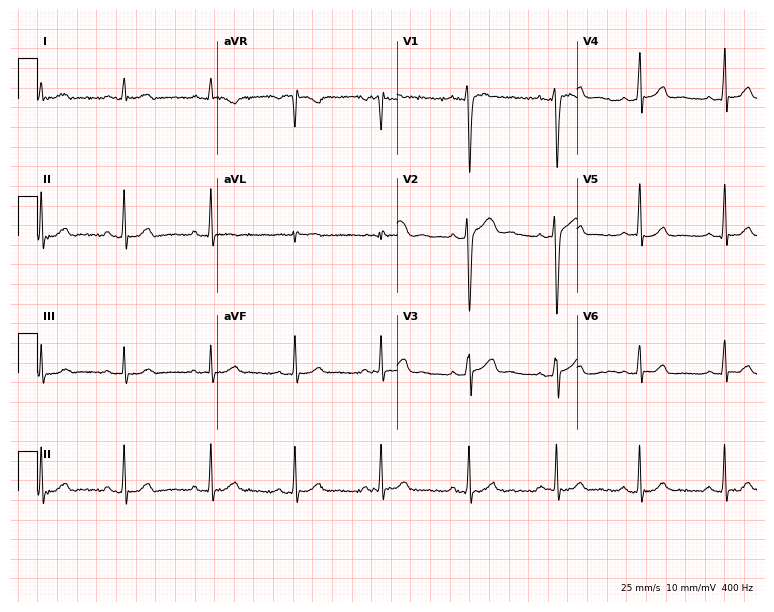
12-lead ECG from a 24-year-old man. Screened for six findings — first-degree AV block, right bundle branch block, left bundle branch block, sinus bradycardia, atrial fibrillation, sinus tachycardia — none is recorded.